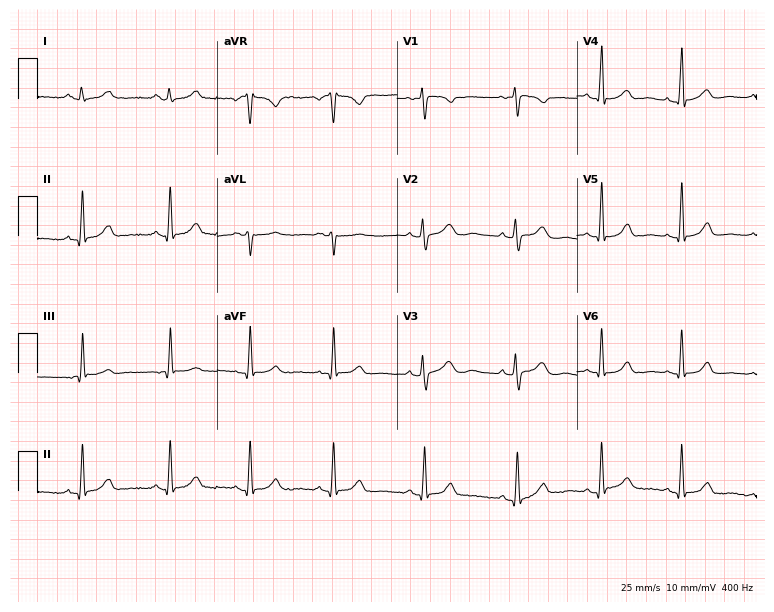
ECG (7.3-second recording at 400 Hz) — a female, 17 years old. Screened for six findings — first-degree AV block, right bundle branch block, left bundle branch block, sinus bradycardia, atrial fibrillation, sinus tachycardia — none is recorded.